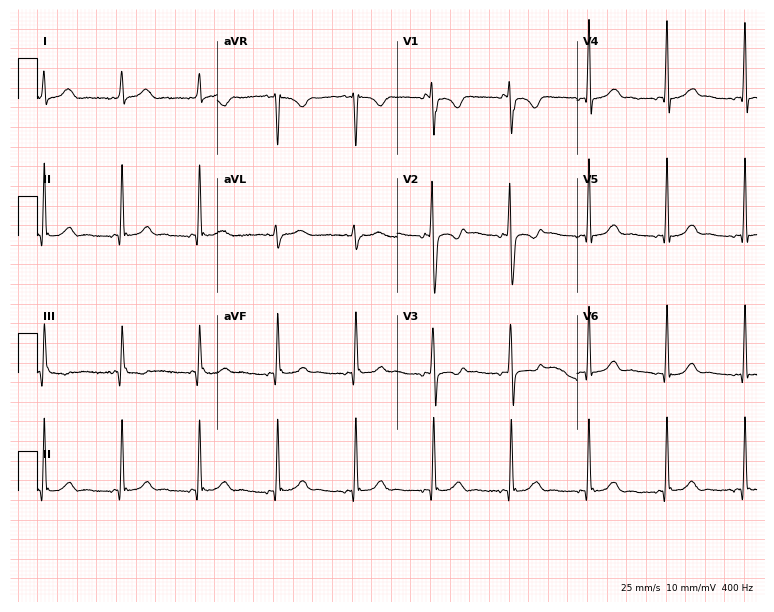
12-lead ECG (7.3-second recording at 400 Hz) from a male patient, 21 years old. Screened for six findings — first-degree AV block, right bundle branch block, left bundle branch block, sinus bradycardia, atrial fibrillation, sinus tachycardia — none is recorded. Findings outside these six are not listed.